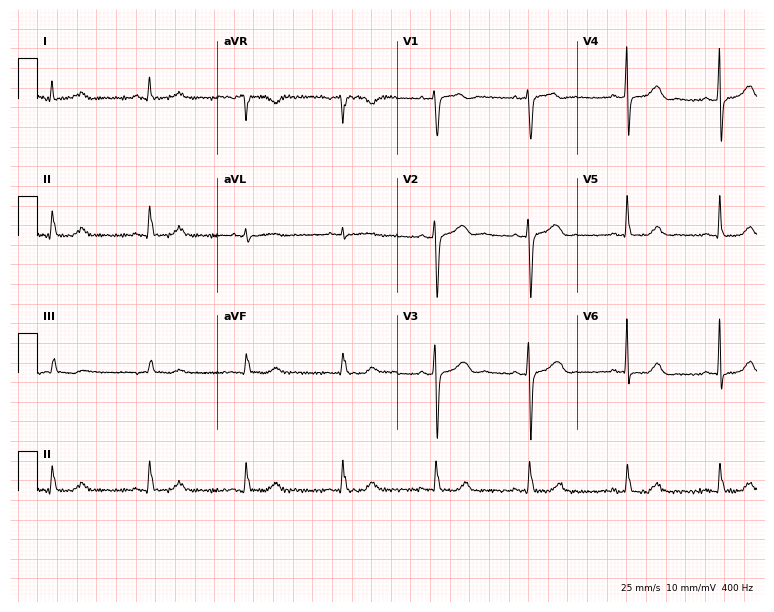
ECG — a 64-year-old female patient. Screened for six findings — first-degree AV block, right bundle branch block (RBBB), left bundle branch block (LBBB), sinus bradycardia, atrial fibrillation (AF), sinus tachycardia — none is recorded. Only these six findings were labelled.